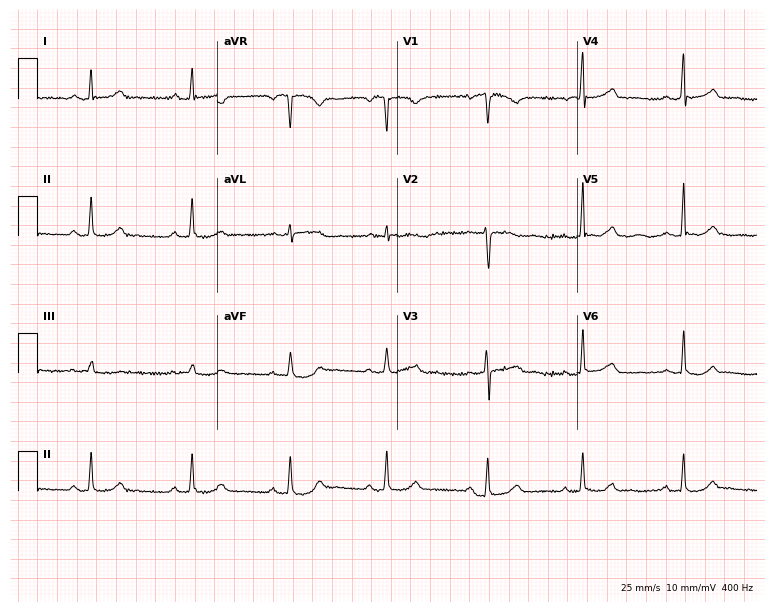
Electrocardiogram, a female, 25 years old. Overall reading on record: normal ECG.